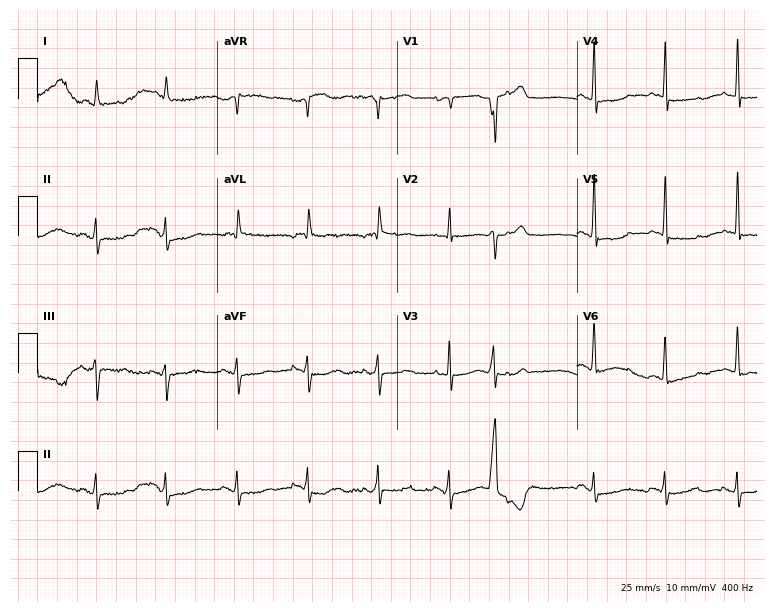
12-lead ECG from an 83-year-old female patient. No first-degree AV block, right bundle branch block, left bundle branch block, sinus bradycardia, atrial fibrillation or sinus tachycardia recorded for this tracing.